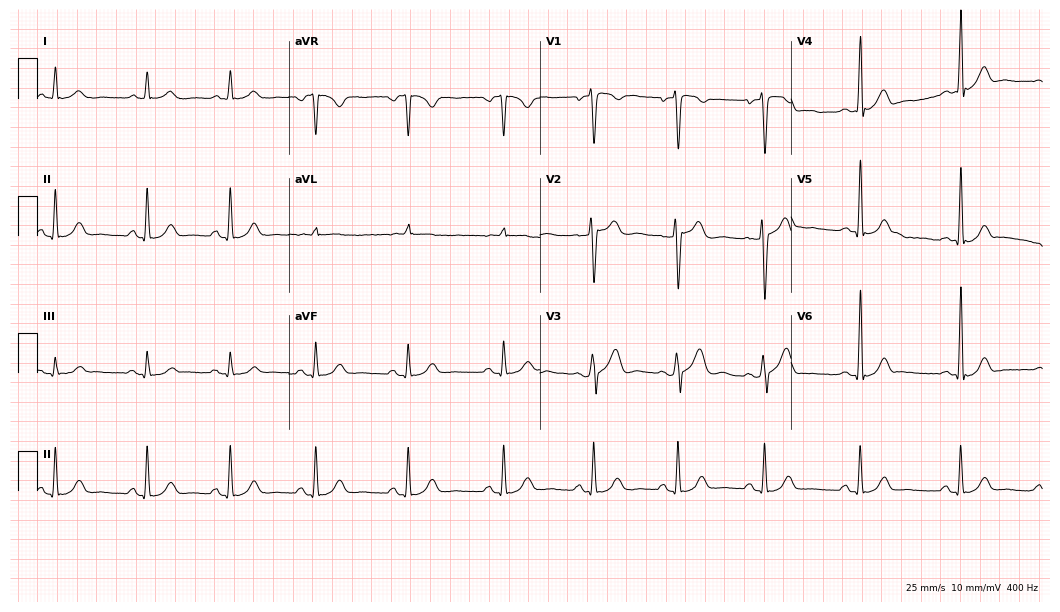
Standard 12-lead ECG recorded from a 27-year-old male patient (10.2-second recording at 400 Hz). Read as a normal ECG.